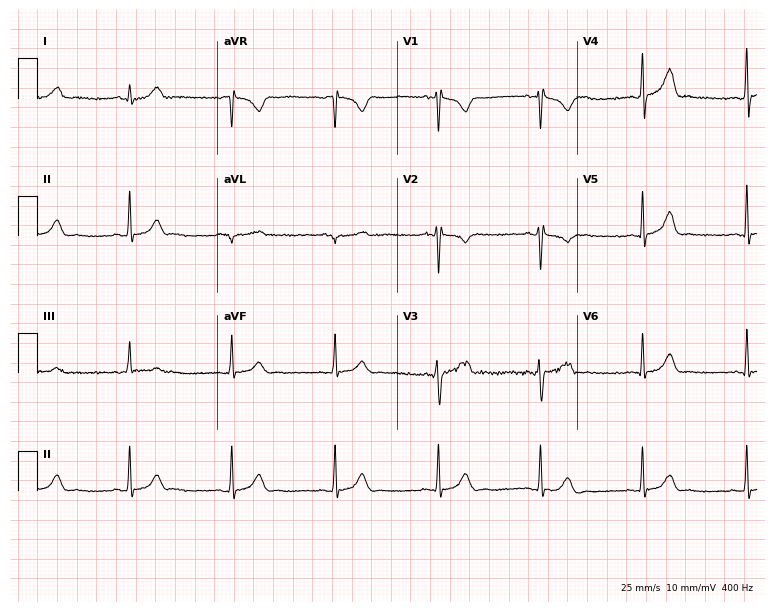
Electrocardiogram, an 18-year-old male. Overall reading on record: normal ECG.